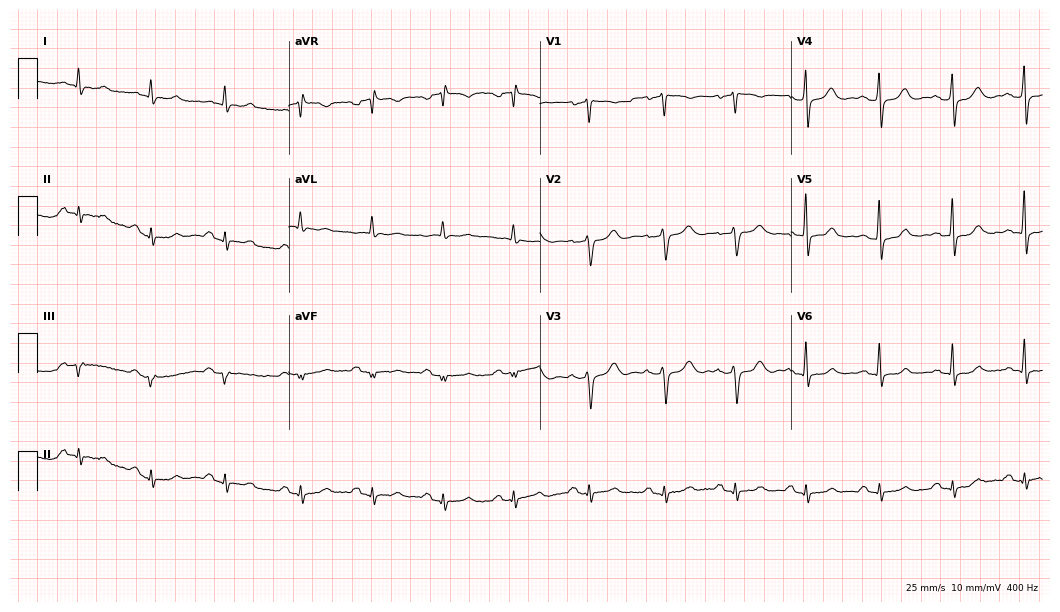
Standard 12-lead ECG recorded from a male patient, 67 years old. None of these six findings is recorded: first-degree AV block, right bundle branch block, left bundle branch block, sinus bradycardia, atrial fibrillation, sinus tachycardia.